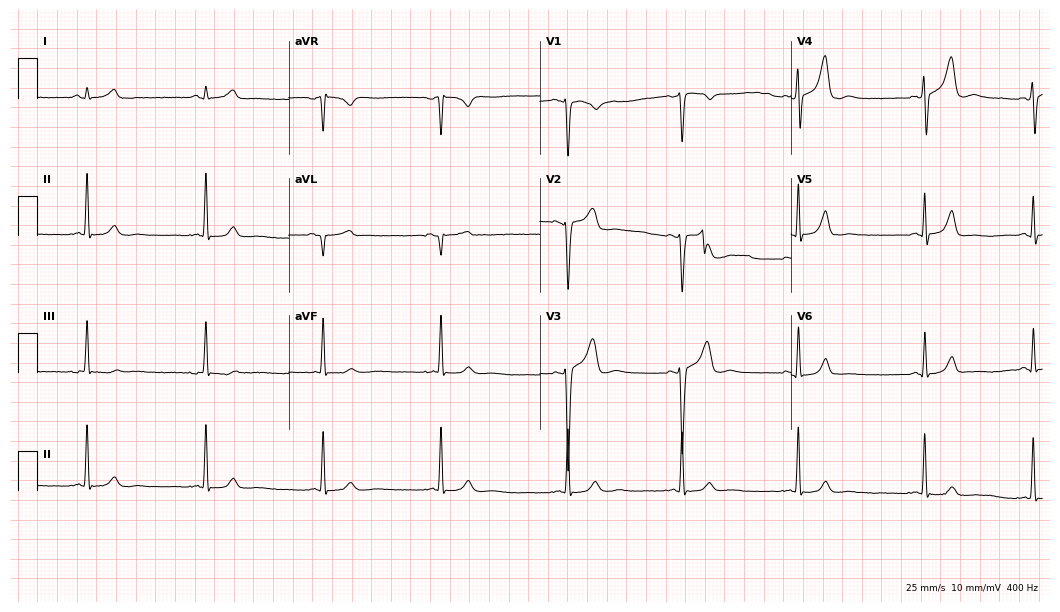
Electrocardiogram (10.2-second recording at 400 Hz), a 27-year-old man. Of the six screened findings (first-degree AV block, right bundle branch block, left bundle branch block, sinus bradycardia, atrial fibrillation, sinus tachycardia), none is recorded.